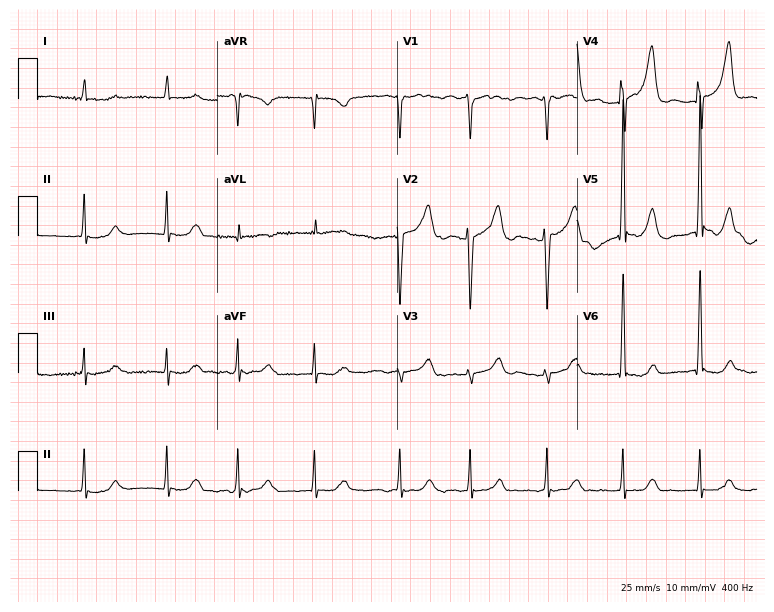
12-lead ECG from a 74-year-old man (7.3-second recording at 400 Hz). Recorded interpretation: within normal limits.